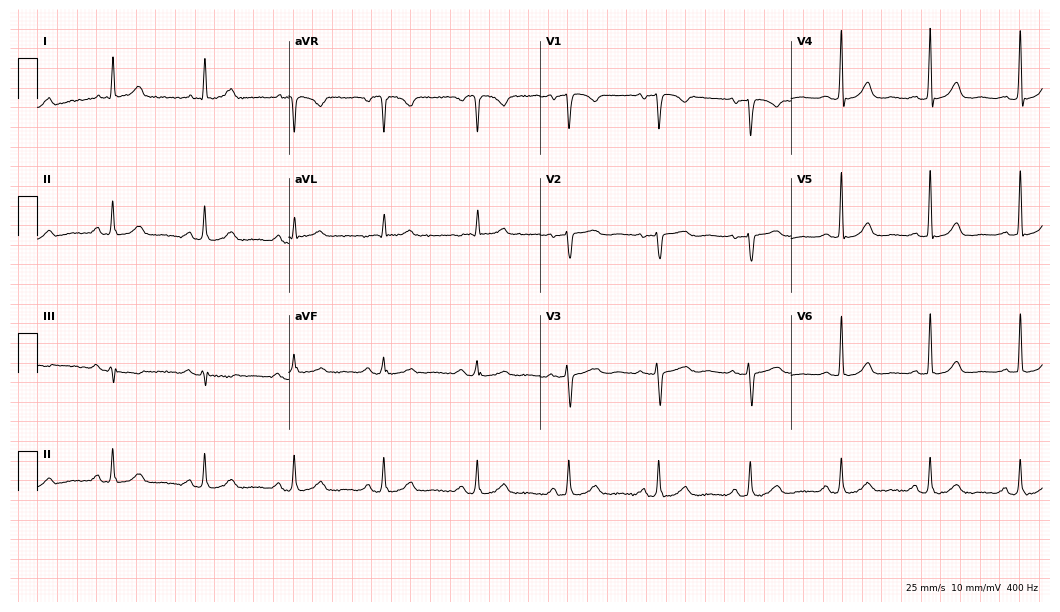
ECG (10.2-second recording at 400 Hz) — a 60-year-old woman. Screened for six findings — first-degree AV block, right bundle branch block, left bundle branch block, sinus bradycardia, atrial fibrillation, sinus tachycardia — none is recorded.